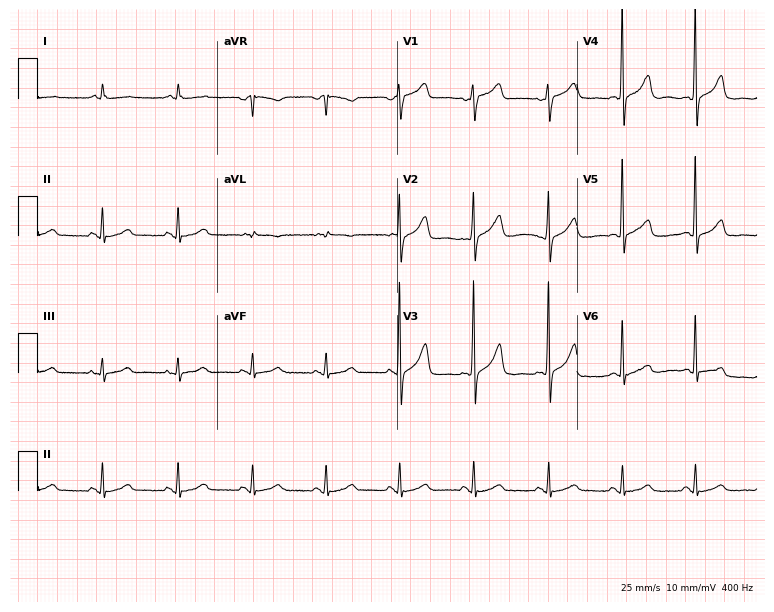
Resting 12-lead electrocardiogram. Patient: a 63-year-old woman. Read as a normal ECG.